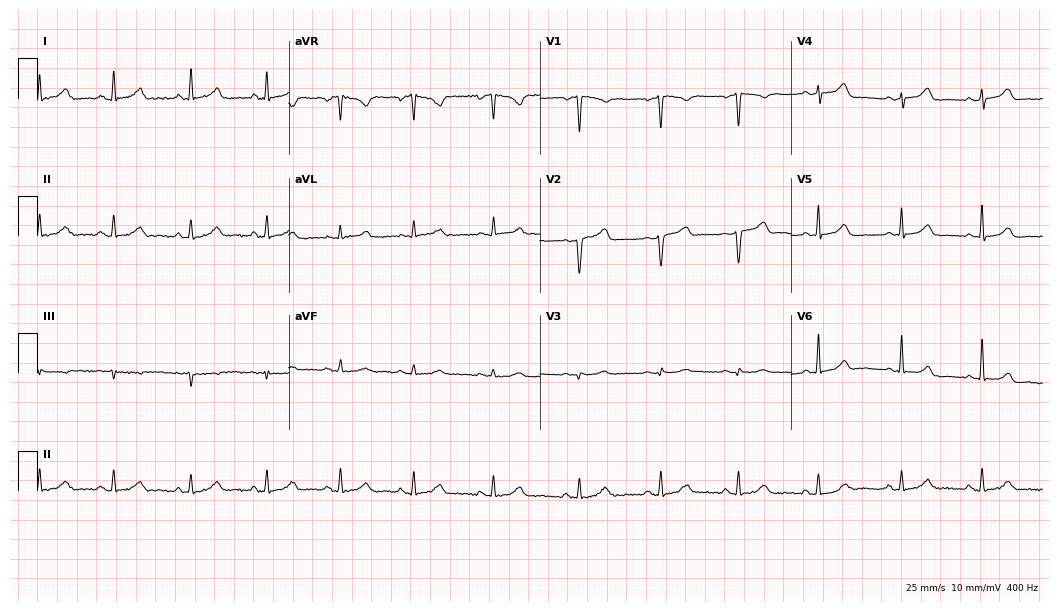
ECG — a 41-year-old female patient. Labelled as a normal ECG.